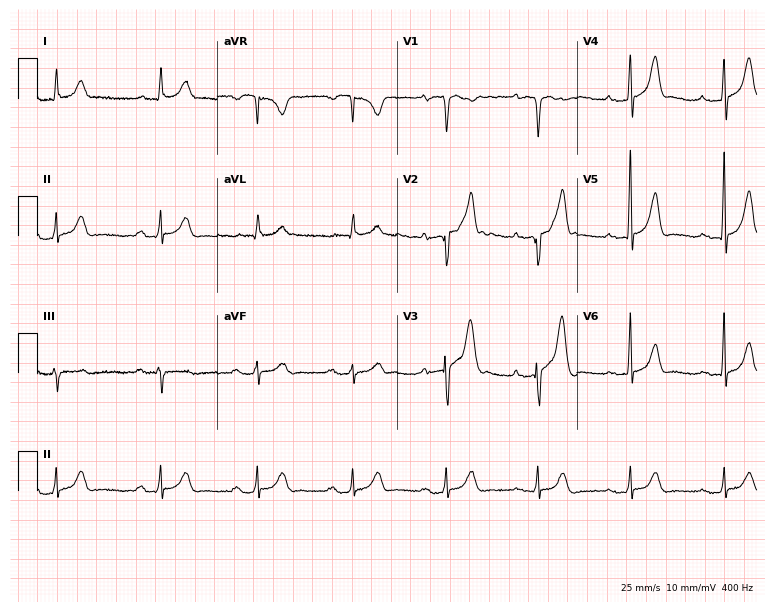
ECG (7.3-second recording at 400 Hz) — a woman, 72 years old. Findings include first-degree AV block.